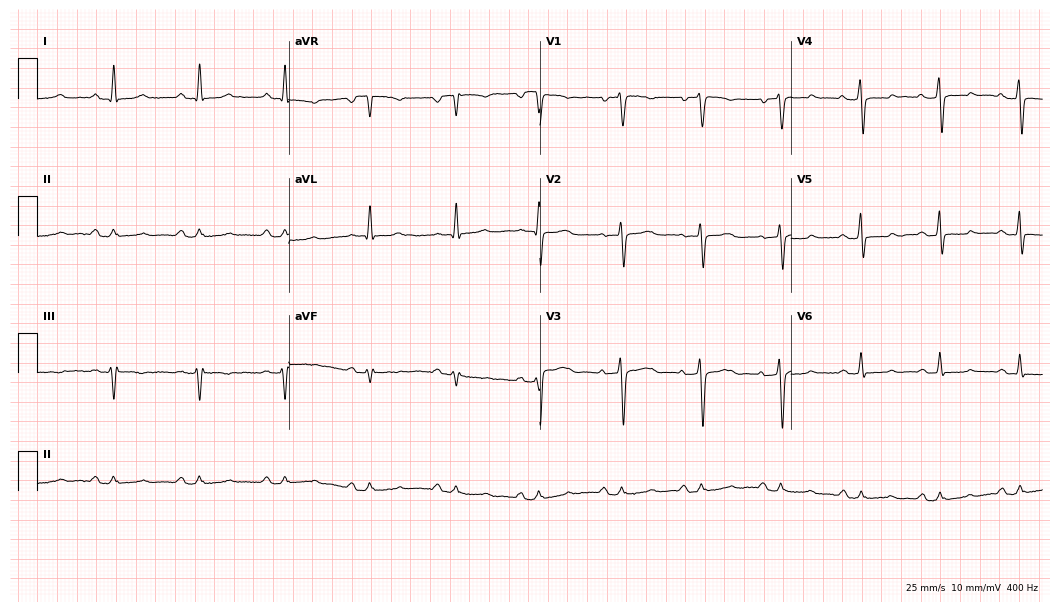
Electrocardiogram (10.2-second recording at 400 Hz), a female, 53 years old. Overall reading on record: normal ECG.